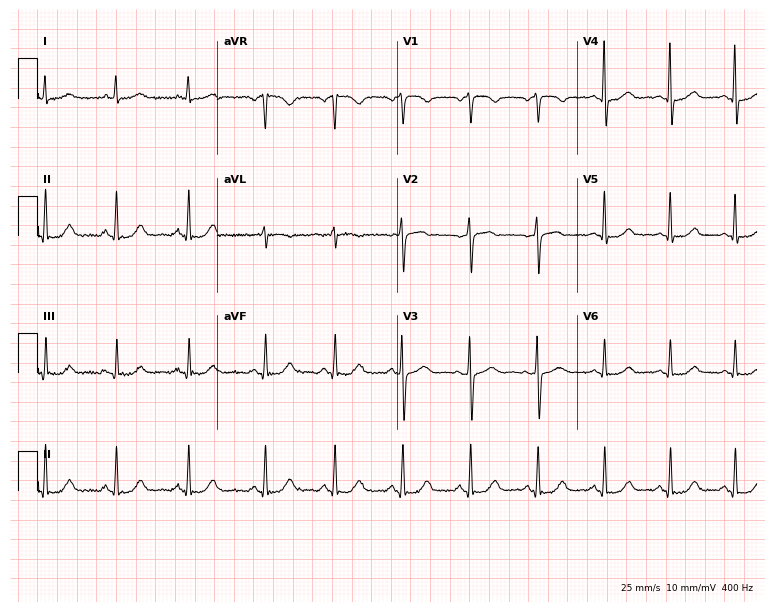
12-lead ECG (7.3-second recording at 400 Hz) from a woman, 41 years old. Labelled as a normal ECG.